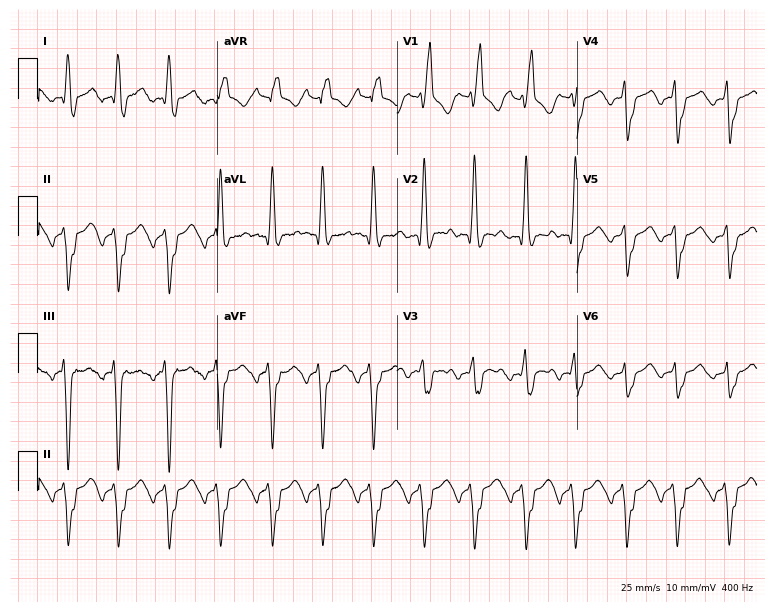
12-lead ECG from a male, 57 years old. Screened for six findings — first-degree AV block, right bundle branch block, left bundle branch block, sinus bradycardia, atrial fibrillation, sinus tachycardia — none is recorded. Findings outside these six are not listed.